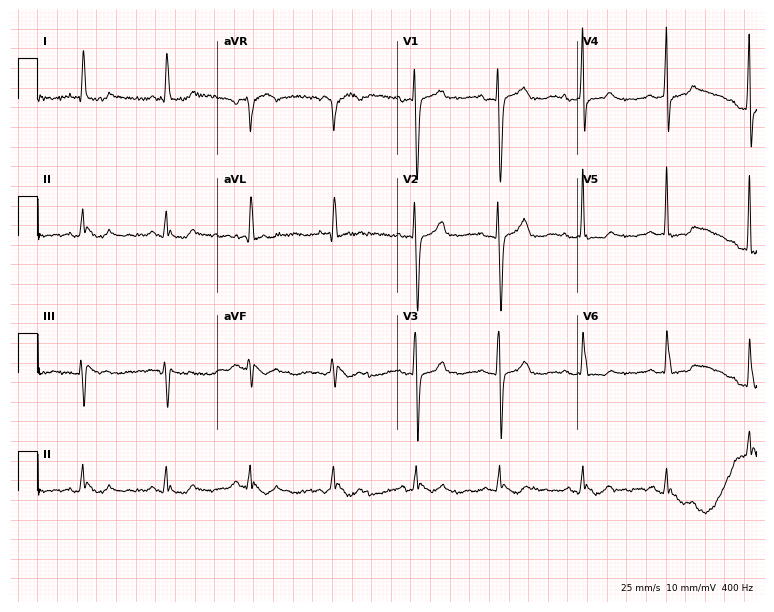
12-lead ECG from a female, 65 years old (7.3-second recording at 400 Hz). No first-degree AV block, right bundle branch block, left bundle branch block, sinus bradycardia, atrial fibrillation or sinus tachycardia recorded for this tracing.